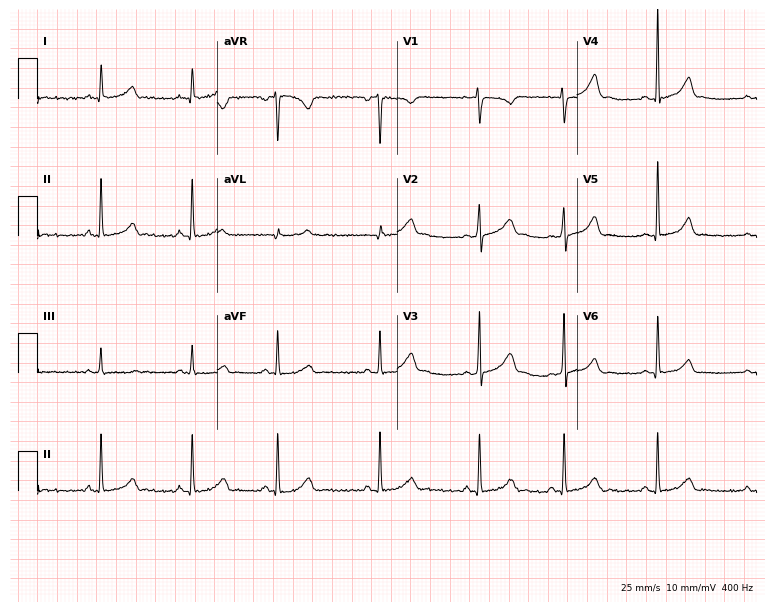
Standard 12-lead ECG recorded from a 28-year-old female patient (7.3-second recording at 400 Hz). Read as a normal ECG.